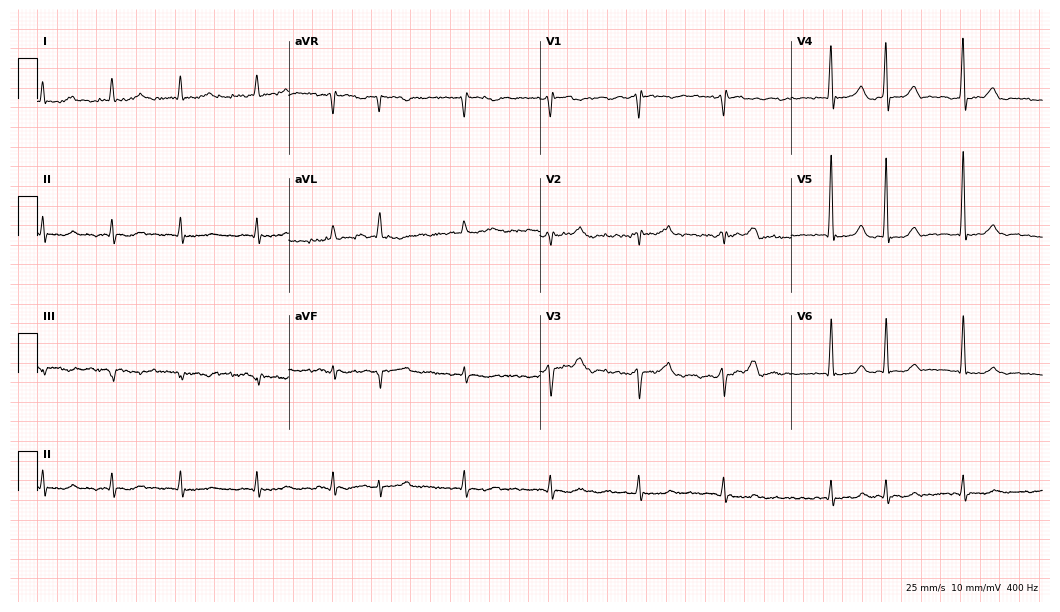
ECG (10.2-second recording at 400 Hz) — a 70-year-old male patient. Screened for six findings — first-degree AV block, right bundle branch block (RBBB), left bundle branch block (LBBB), sinus bradycardia, atrial fibrillation (AF), sinus tachycardia — none is recorded.